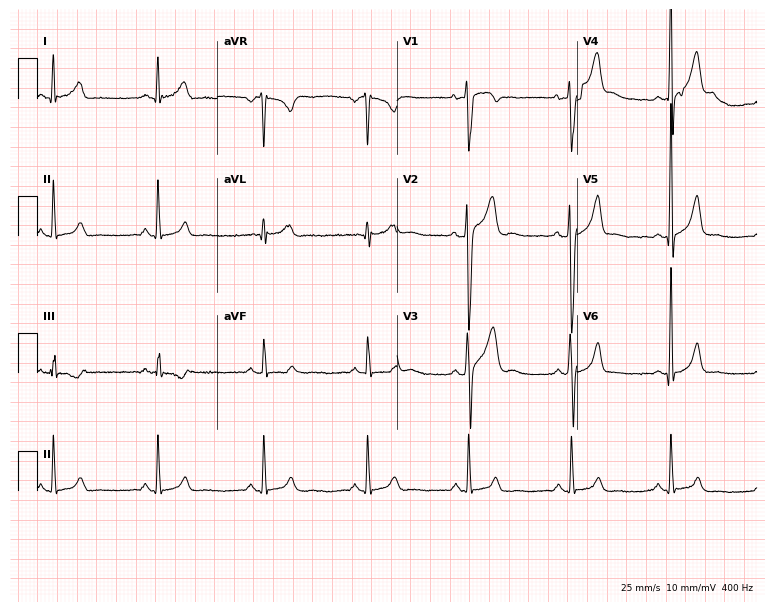
ECG — a man, 31 years old. Screened for six findings — first-degree AV block, right bundle branch block, left bundle branch block, sinus bradycardia, atrial fibrillation, sinus tachycardia — none is recorded. Other findings, if any, are not listed.